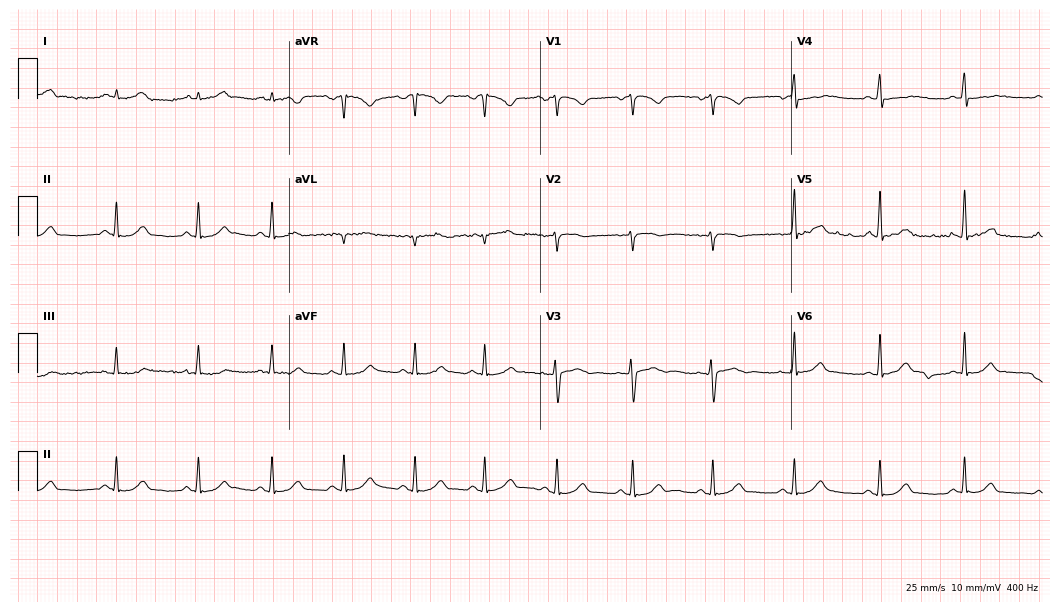
Electrocardiogram (10.2-second recording at 400 Hz), a female patient, 17 years old. Of the six screened findings (first-degree AV block, right bundle branch block, left bundle branch block, sinus bradycardia, atrial fibrillation, sinus tachycardia), none is recorded. Other findings, if any, are not listed.